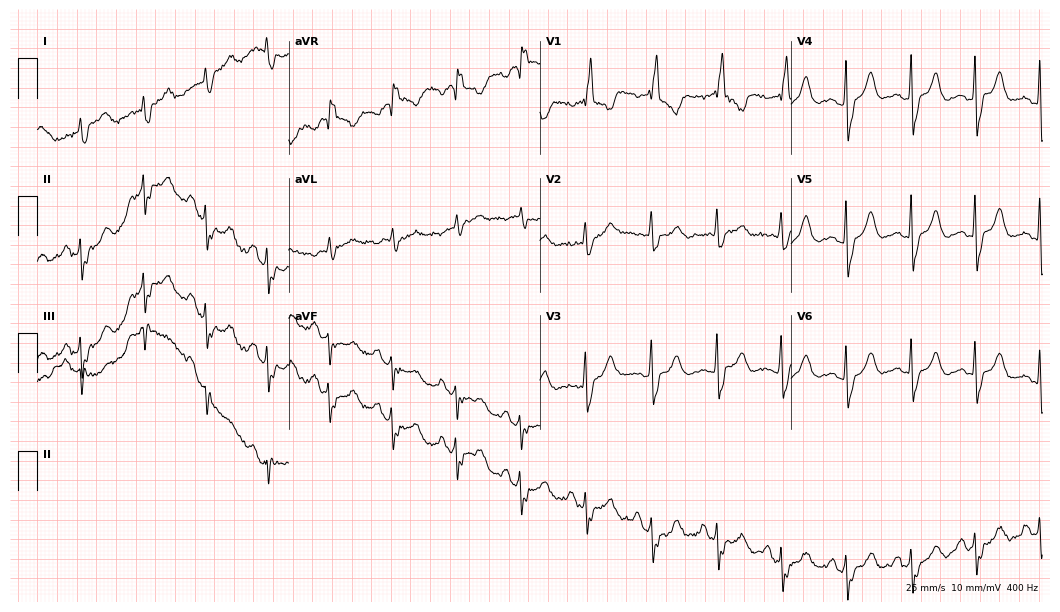
ECG — a female patient, 67 years old. Findings include right bundle branch block.